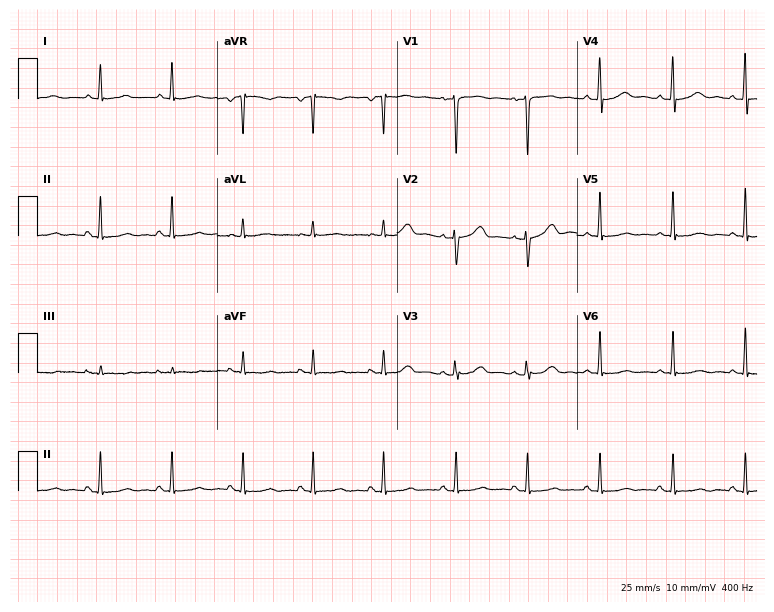
Standard 12-lead ECG recorded from a 52-year-old woman (7.3-second recording at 400 Hz). None of these six findings is recorded: first-degree AV block, right bundle branch block, left bundle branch block, sinus bradycardia, atrial fibrillation, sinus tachycardia. Other findings, if any, are not listed.